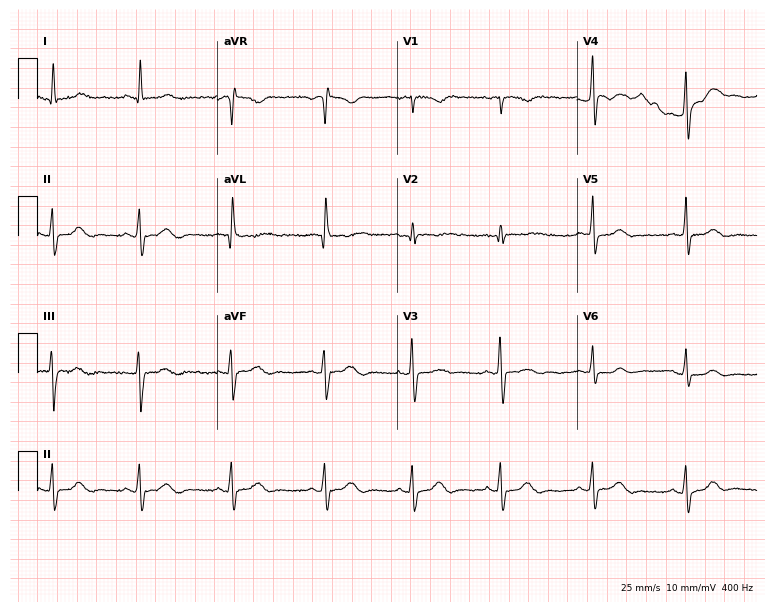
Electrocardiogram, a woman, 32 years old. Of the six screened findings (first-degree AV block, right bundle branch block, left bundle branch block, sinus bradycardia, atrial fibrillation, sinus tachycardia), none is recorded. Other findings, if any, are not listed.